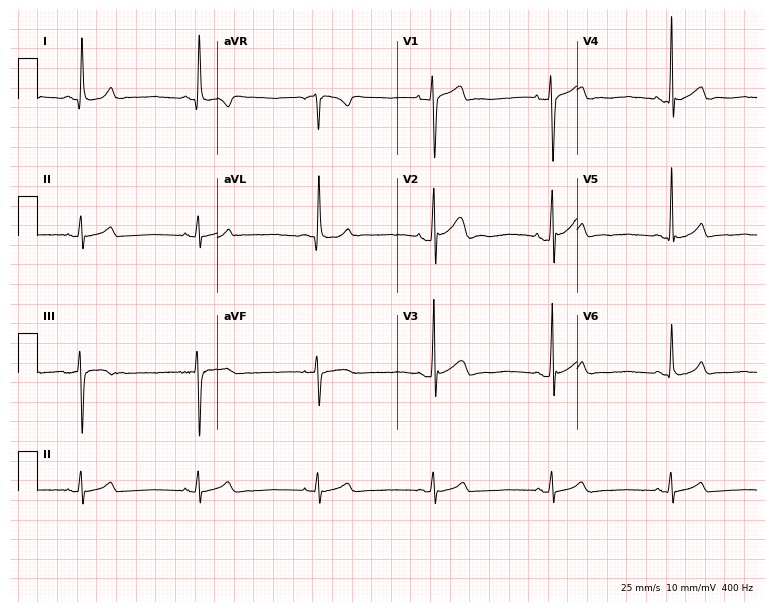
Standard 12-lead ECG recorded from a male, 29 years old. None of these six findings is recorded: first-degree AV block, right bundle branch block, left bundle branch block, sinus bradycardia, atrial fibrillation, sinus tachycardia. Only these six findings were labelled.